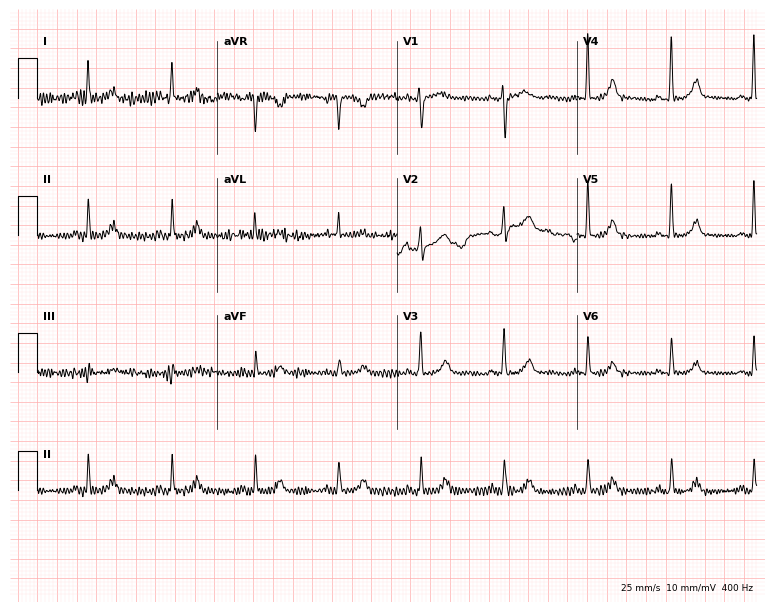
12-lead ECG from a female patient, 64 years old (7.3-second recording at 400 Hz). No first-degree AV block, right bundle branch block (RBBB), left bundle branch block (LBBB), sinus bradycardia, atrial fibrillation (AF) or sinus tachycardia recorded for this tracing. Other findings, if any, are not listed.